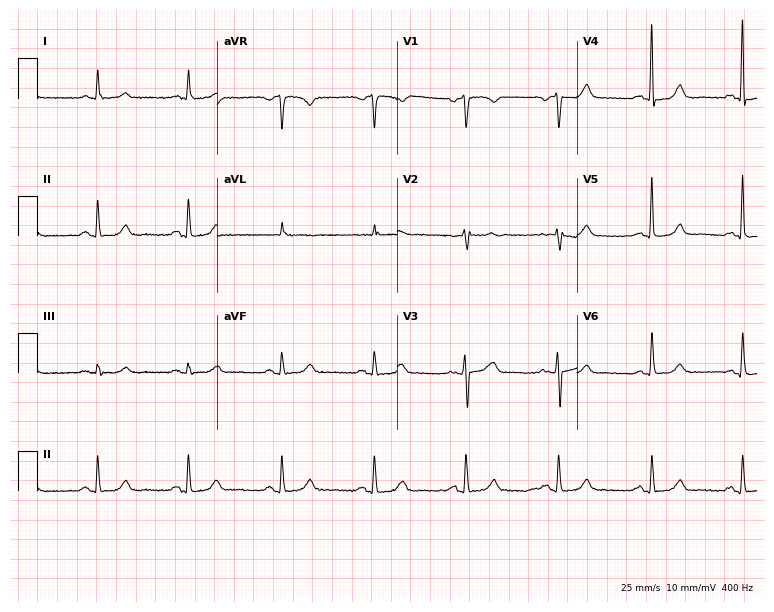
Resting 12-lead electrocardiogram (7.3-second recording at 400 Hz). Patient: a 70-year-old female. None of these six findings is recorded: first-degree AV block, right bundle branch block, left bundle branch block, sinus bradycardia, atrial fibrillation, sinus tachycardia. Only these six findings were labelled.